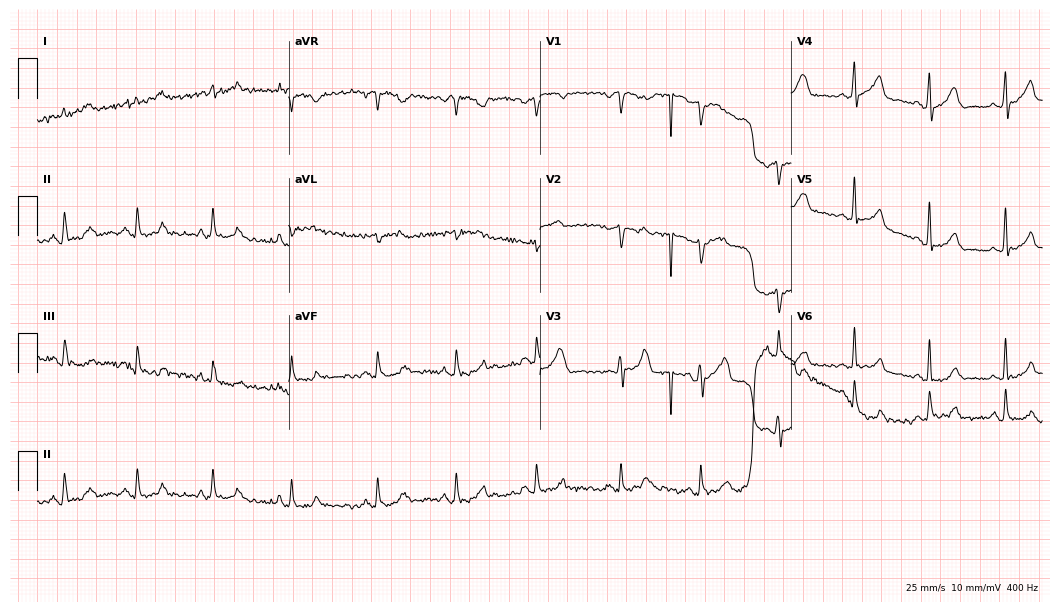
Electrocardiogram, a 56-year-old man. Of the six screened findings (first-degree AV block, right bundle branch block, left bundle branch block, sinus bradycardia, atrial fibrillation, sinus tachycardia), none is recorded.